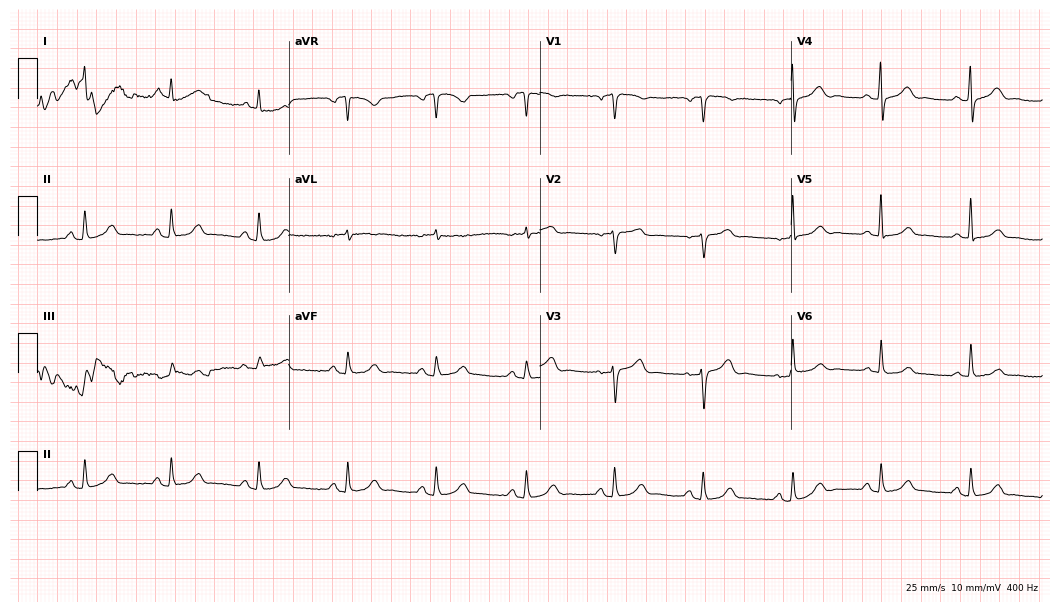
Standard 12-lead ECG recorded from a 71-year-old female patient. Read as a normal ECG.